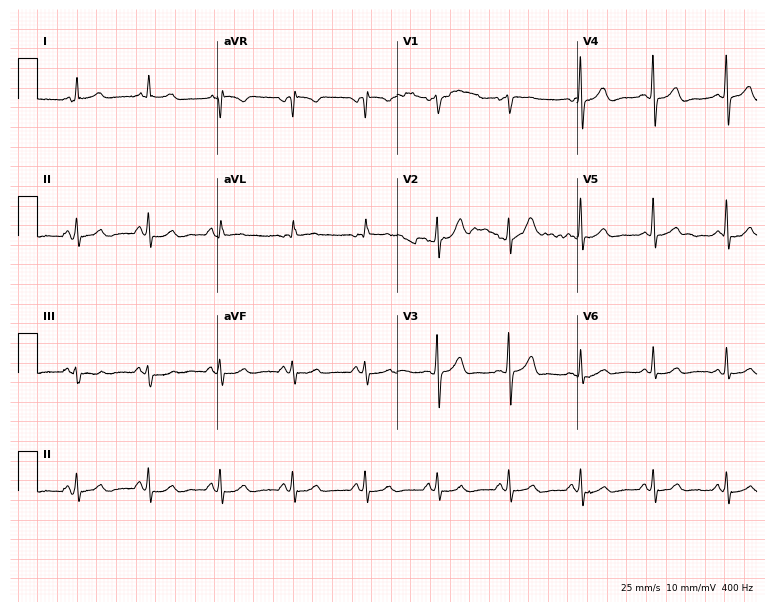
12-lead ECG (7.3-second recording at 400 Hz) from a 70-year-old male. Screened for six findings — first-degree AV block, right bundle branch block, left bundle branch block, sinus bradycardia, atrial fibrillation, sinus tachycardia — none is recorded.